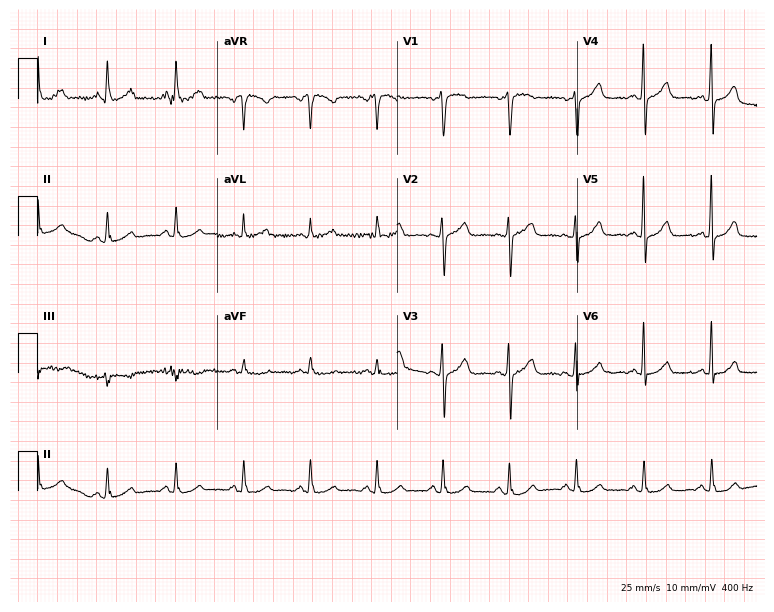
Resting 12-lead electrocardiogram. Patient: a female, 51 years old. Read as a normal ECG.